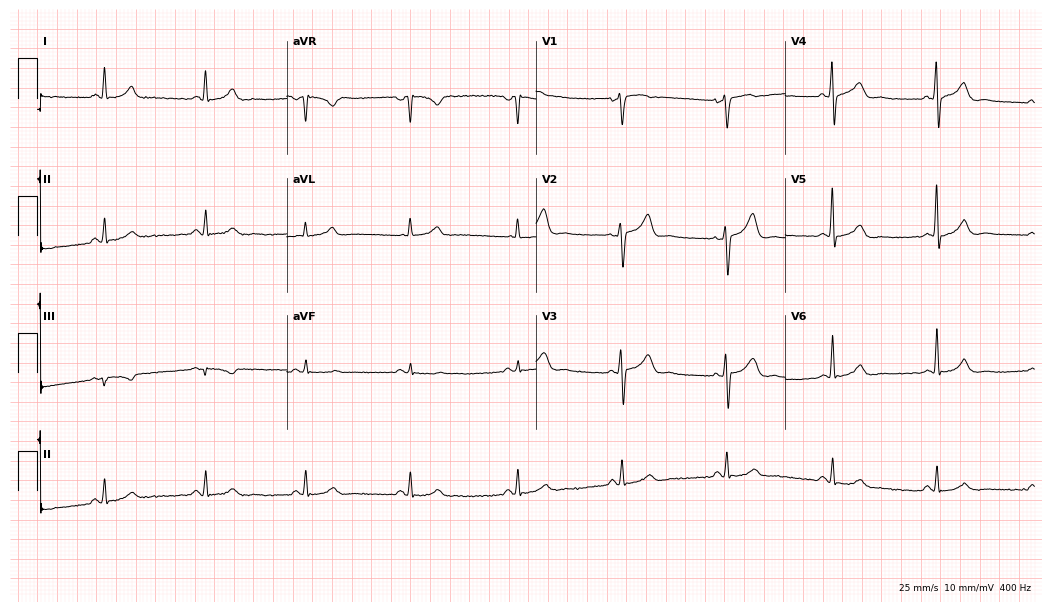
Standard 12-lead ECG recorded from a 53-year-old male patient (10.2-second recording at 400 Hz). None of these six findings is recorded: first-degree AV block, right bundle branch block, left bundle branch block, sinus bradycardia, atrial fibrillation, sinus tachycardia.